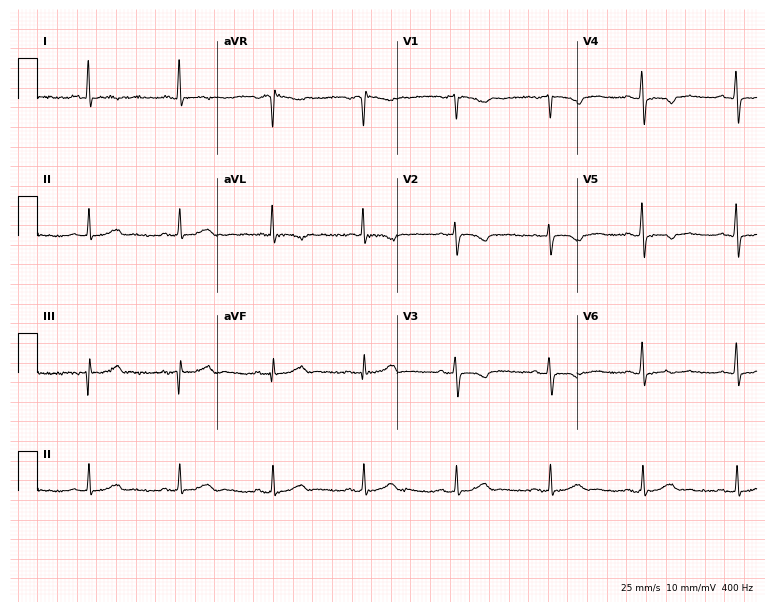
ECG — a 67-year-old female. Screened for six findings — first-degree AV block, right bundle branch block, left bundle branch block, sinus bradycardia, atrial fibrillation, sinus tachycardia — none is recorded.